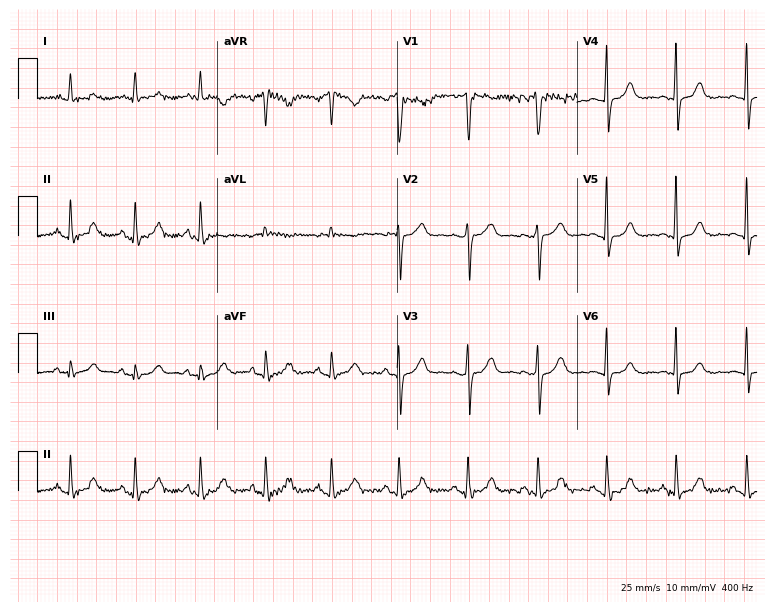
ECG (7.3-second recording at 400 Hz) — a male patient, 52 years old. Labelled as a normal ECG.